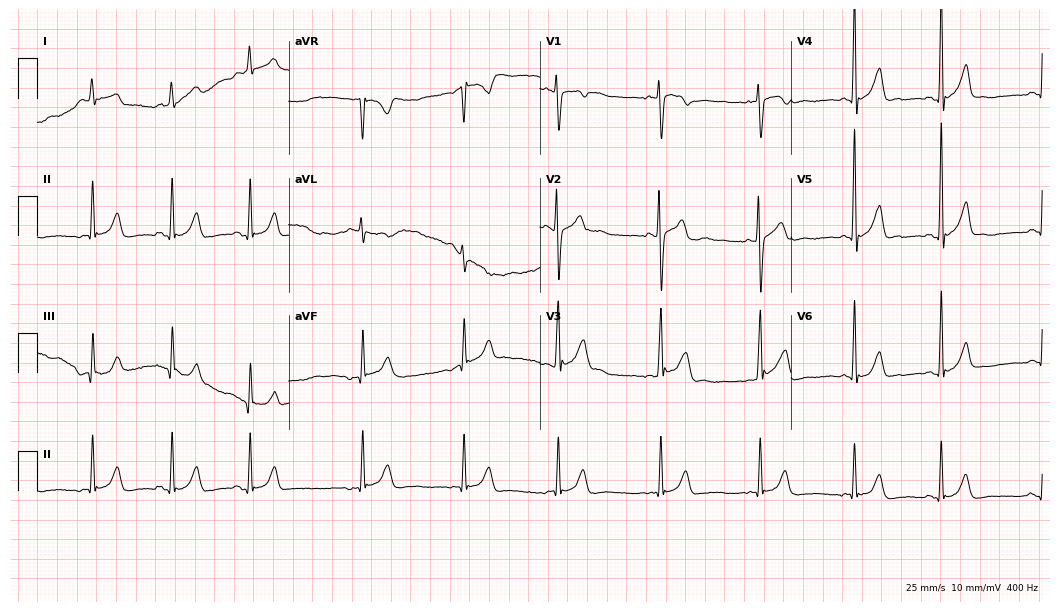
12-lead ECG from a male patient, 19 years old. Labelled as a normal ECG.